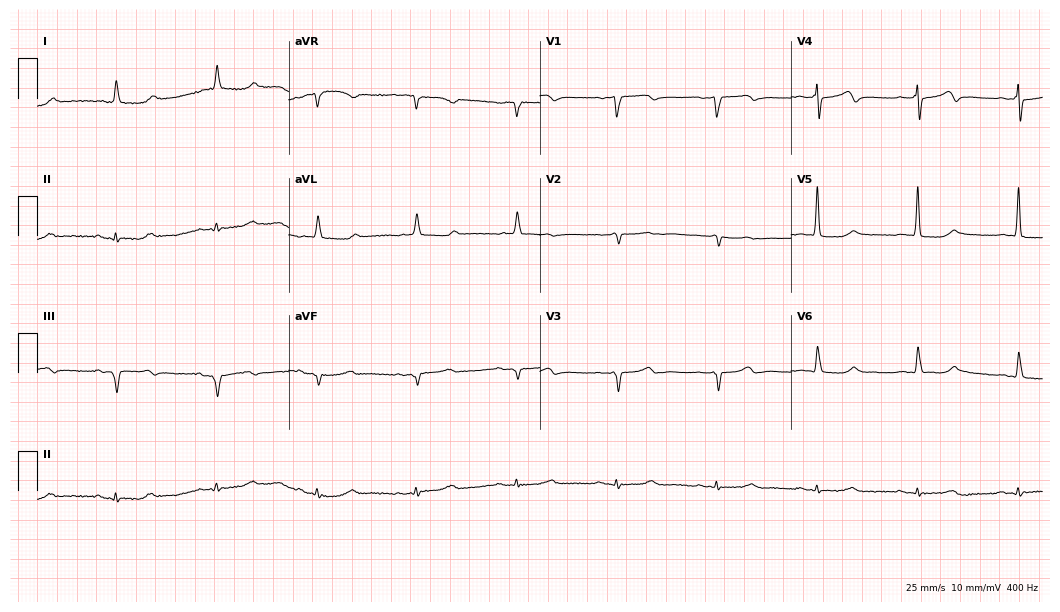
ECG (10.2-second recording at 400 Hz) — a 79-year-old female. Labelled as a normal ECG.